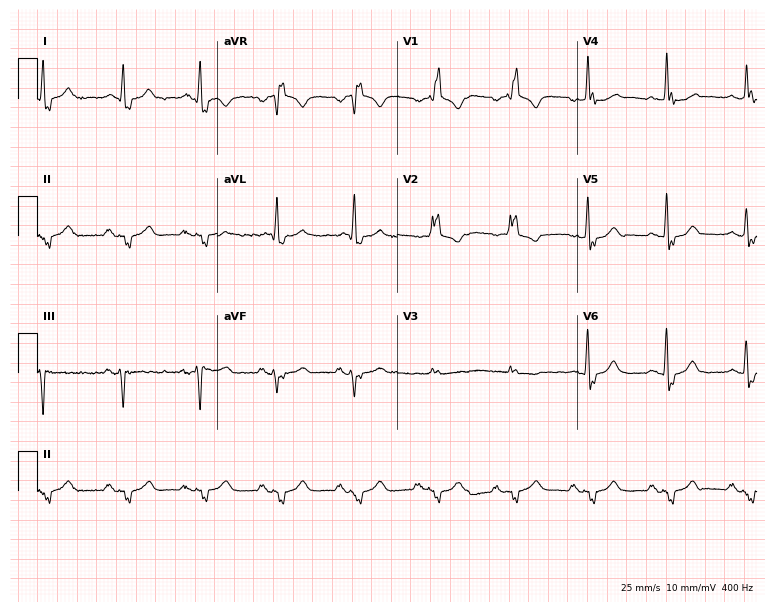
ECG — a 74-year-old male patient. Findings include right bundle branch block (RBBB).